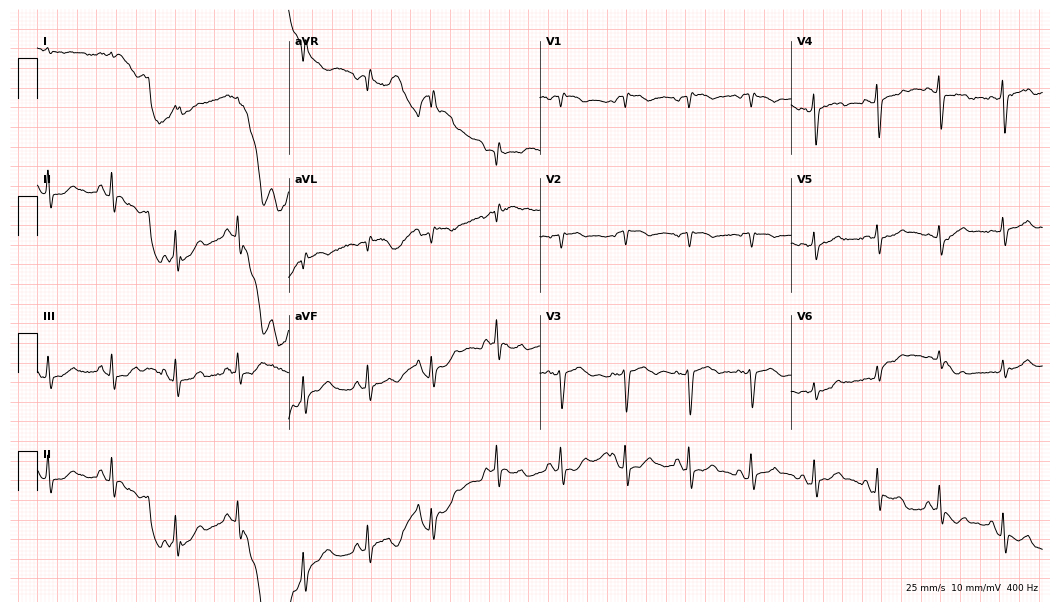
Standard 12-lead ECG recorded from a man, 80 years old (10.2-second recording at 400 Hz). None of these six findings is recorded: first-degree AV block, right bundle branch block, left bundle branch block, sinus bradycardia, atrial fibrillation, sinus tachycardia. Only these six findings were labelled.